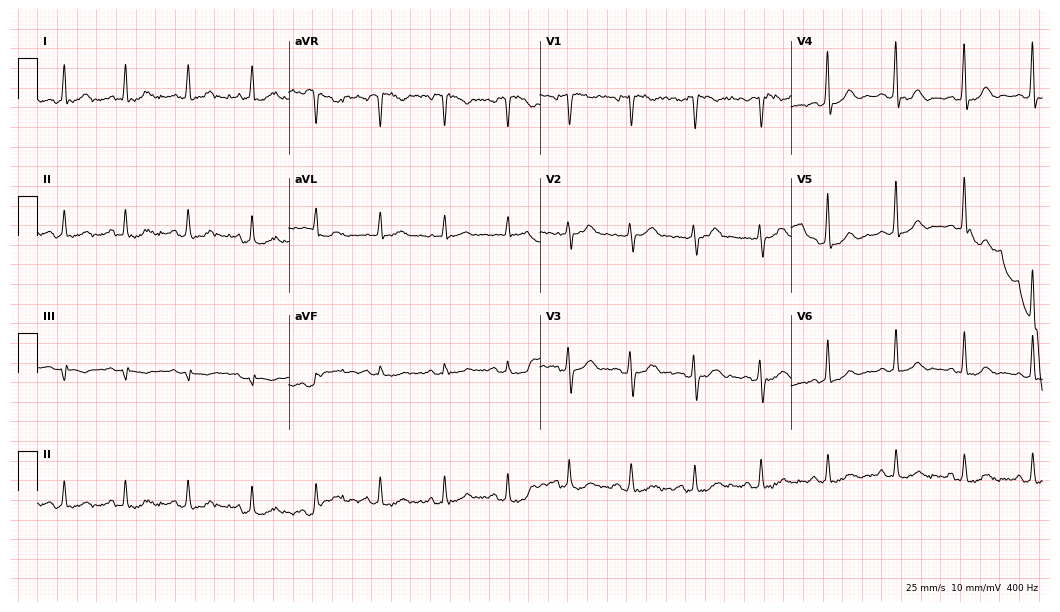
ECG — a female, 44 years old. Labelled as a normal ECG.